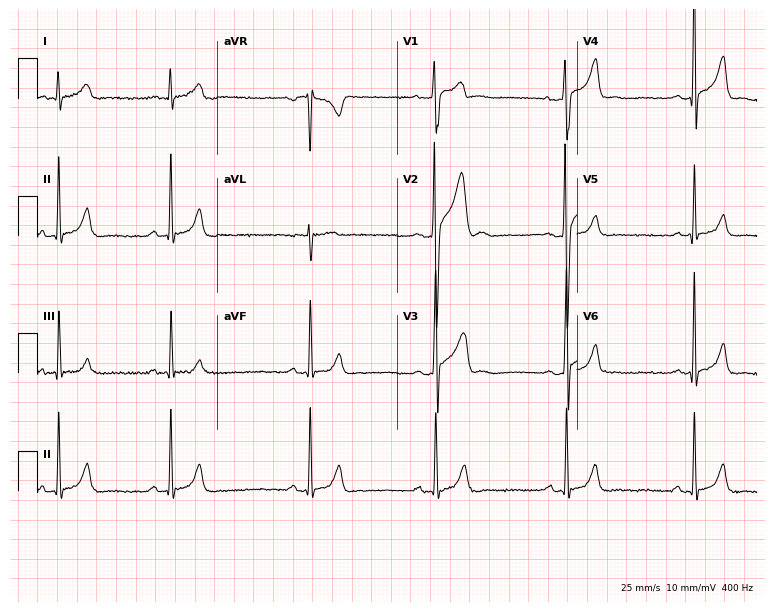
12-lead ECG (7.3-second recording at 400 Hz) from a man, 21 years old. Screened for six findings — first-degree AV block, right bundle branch block, left bundle branch block, sinus bradycardia, atrial fibrillation, sinus tachycardia — none is recorded. Other findings, if any, are not listed.